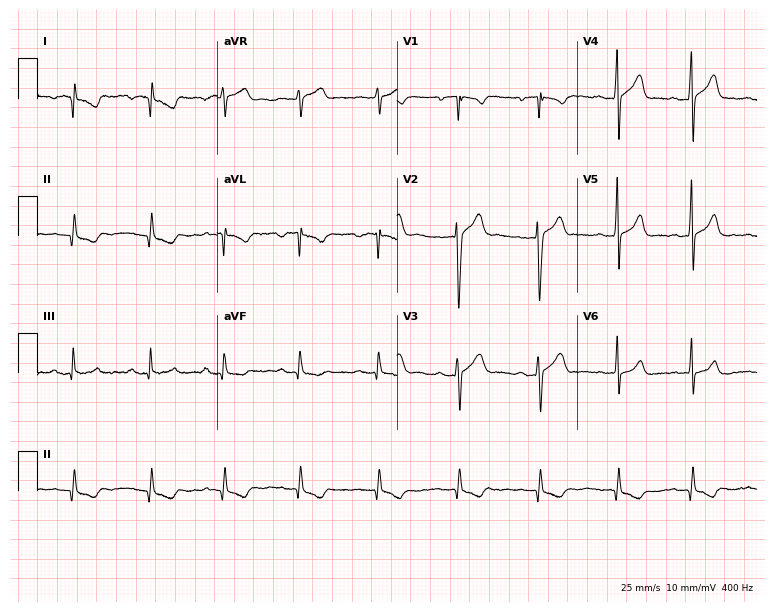
Resting 12-lead electrocardiogram (7.3-second recording at 400 Hz). Patient: a 26-year-old man. None of these six findings is recorded: first-degree AV block, right bundle branch block, left bundle branch block, sinus bradycardia, atrial fibrillation, sinus tachycardia.